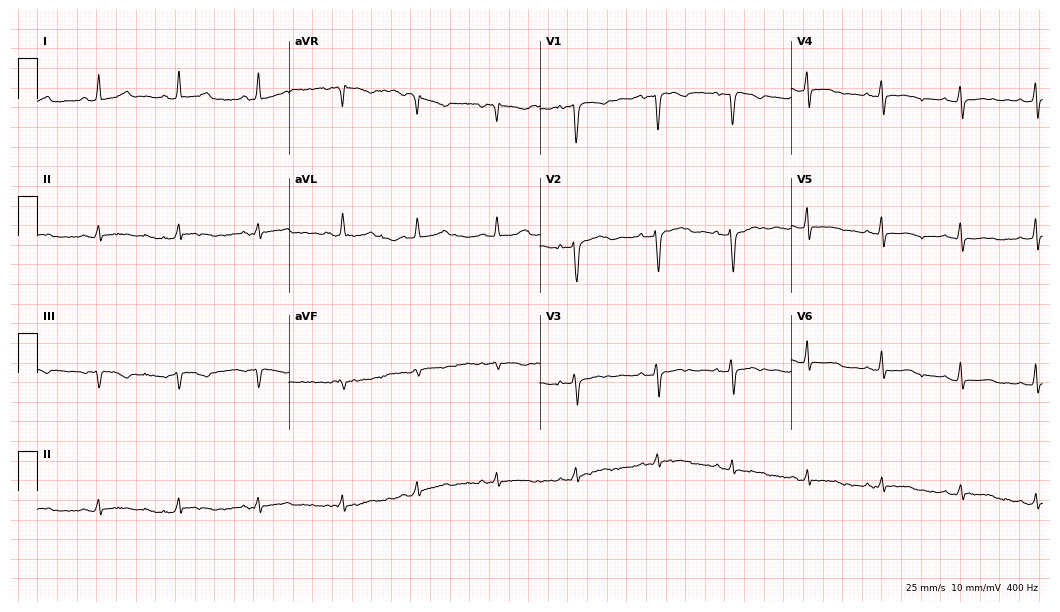
12-lead ECG from a 42-year-old woman (10.2-second recording at 400 Hz). No first-degree AV block, right bundle branch block, left bundle branch block, sinus bradycardia, atrial fibrillation or sinus tachycardia recorded for this tracing. Other findings, if any, are not listed.